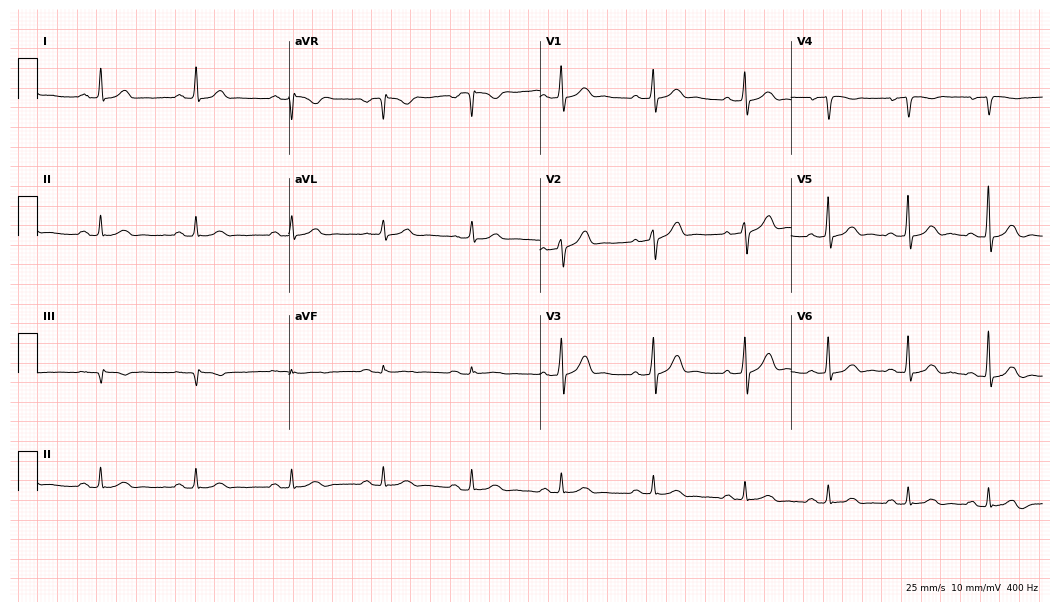
Standard 12-lead ECG recorded from a male, 51 years old. Read as a normal ECG.